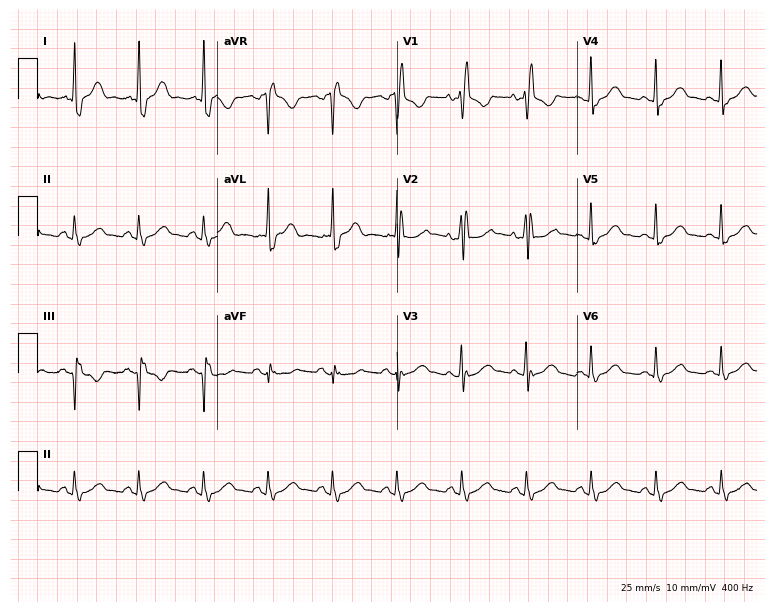
Resting 12-lead electrocardiogram (7.3-second recording at 400 Hz). Patient: a female, 71 years old. The tracing shows right bundle branch block.